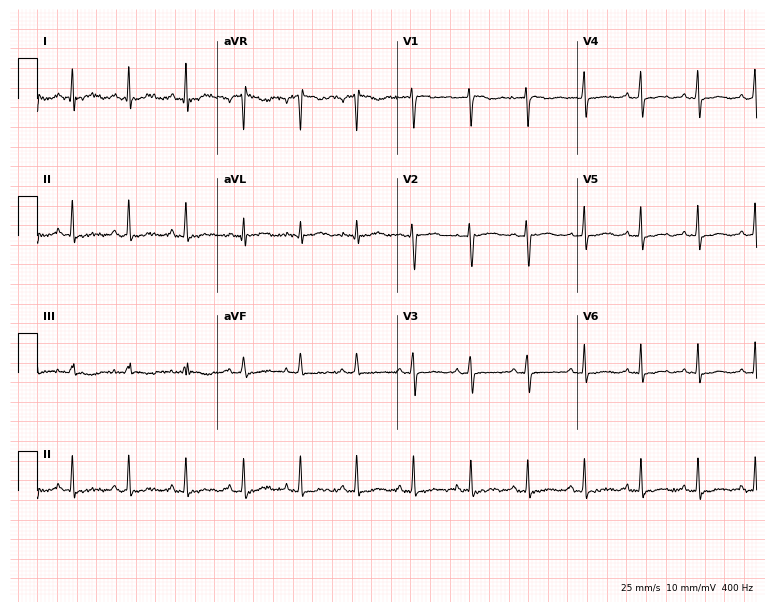
Electrocardiogram (7.3-second recording at 400 Hz), a 44-year-old female patient. Interpretation includes sinus tachycardia (a sinus rate of 100 beats per minute or more).